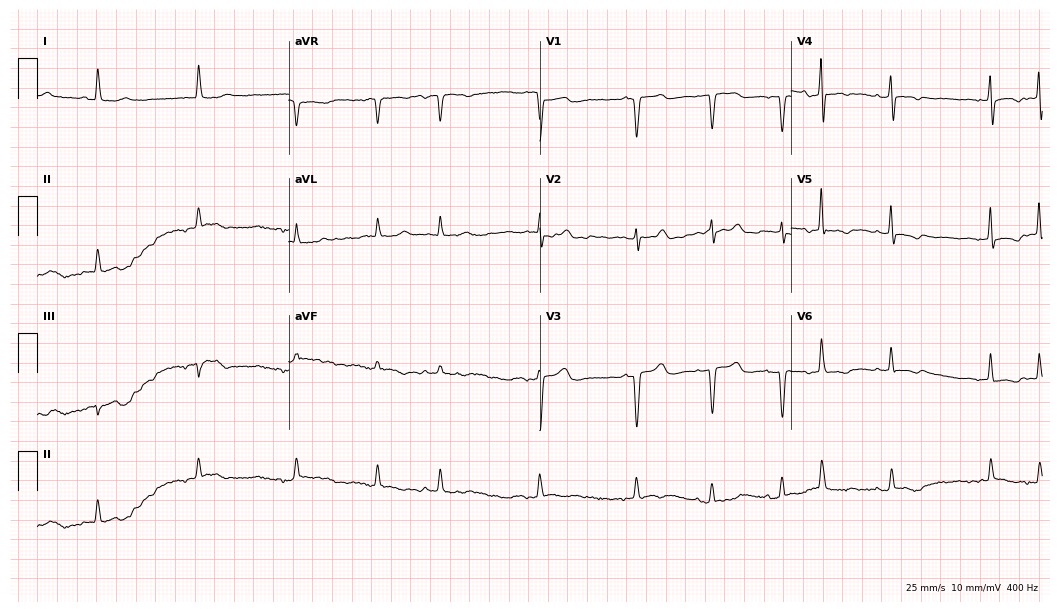
12-lead ECG (10.2-second recording at 400 Hz) from a female, 77 years old. Screened for six findings — first-degree AV block, right bundle branch block, left bundle branch block, sinus bradycardia, atrial fibrillation, sinus tachycardia — none is recorded.